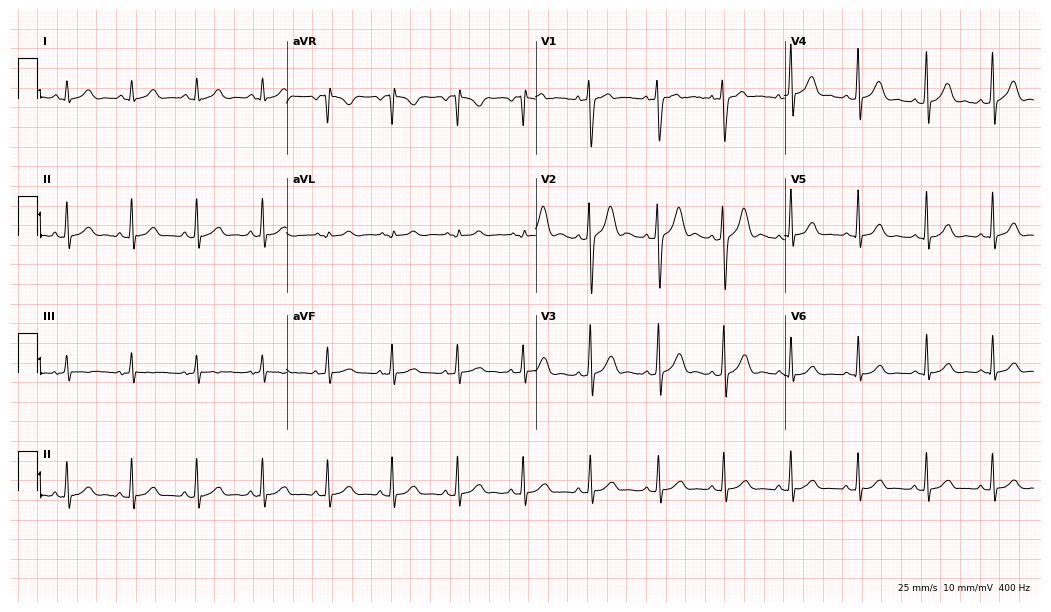
12-lead ECG from a 21-year-old male patient (10.2-second recording at 400 Hz). No first-degree AV block, right bundle branch block (RBBB), left bundle branch block (LBBB), sinus bradycardia, atrial fibrillation (AF) or sinus tachycardia recorded for this tracing. Findings outside these six are not listed.